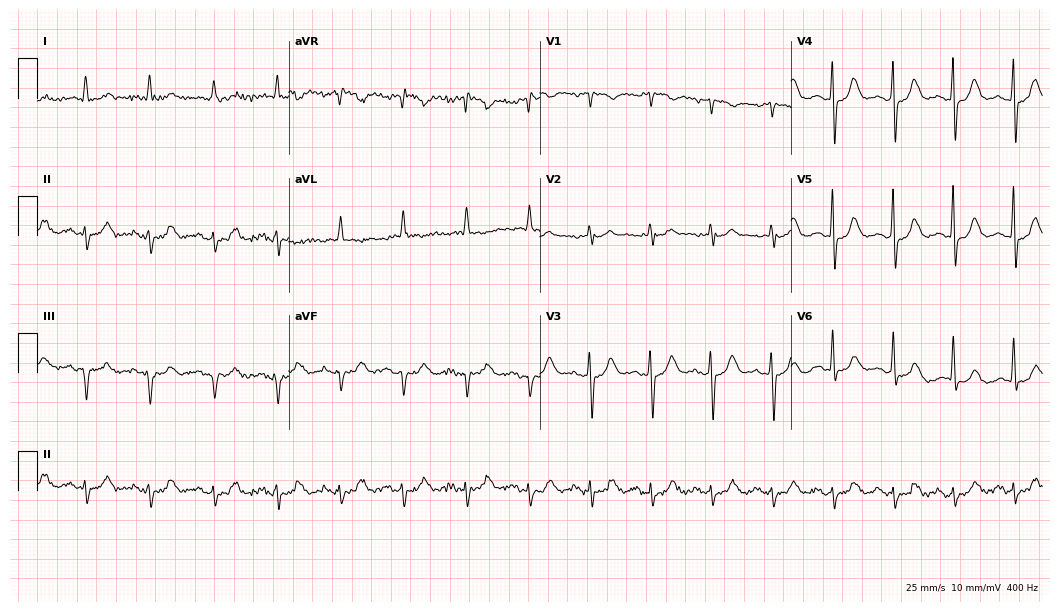
Electrocardiogram, a female patient, 75 years old. Of the six screened findings (first-degree AV block, right bundle branch block, left bundle branch block, sinus bradycardia, atrial fibrillation, sinus tachycardia), none is recorded.